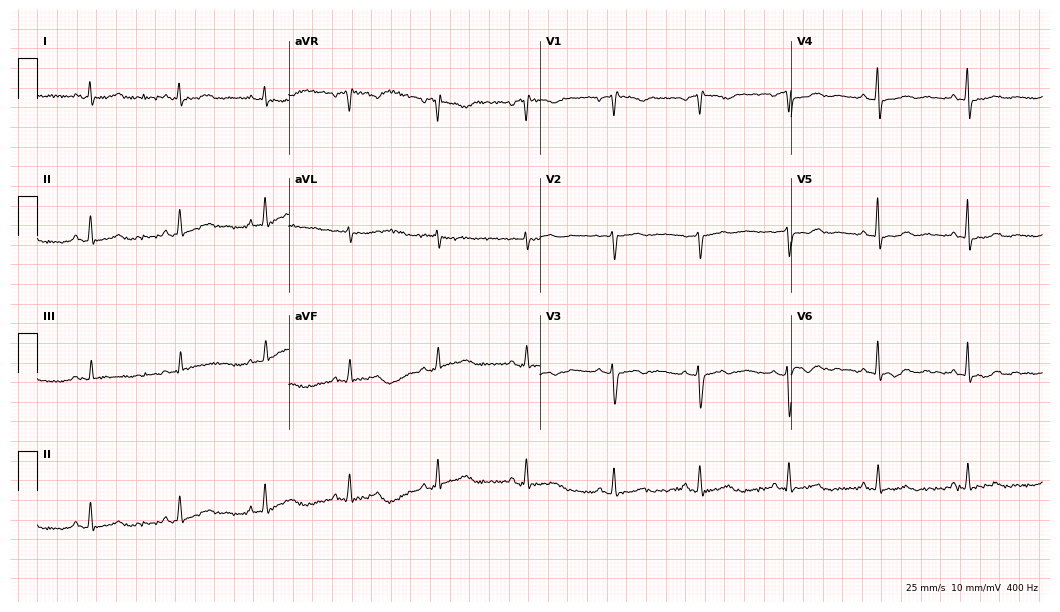
Standard 12-lead ECG recorded from a woman, 48 years old. Read as a normal ECG.